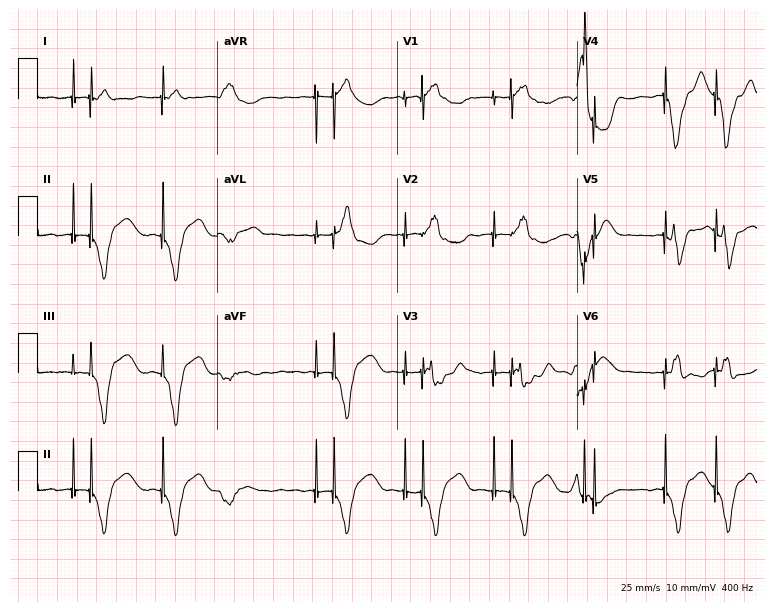
ECG (7.3-second recording at 400 Hz) — a male, 62 years old. Screened for six findings — first-degree AV block, right bundle branch block (RBBB), left bundle branch block (LBBB), sinus bradycardia, atrial fibrillation (AF), sinus tachycardia — none is recorded. Findings outside these six are not listed.